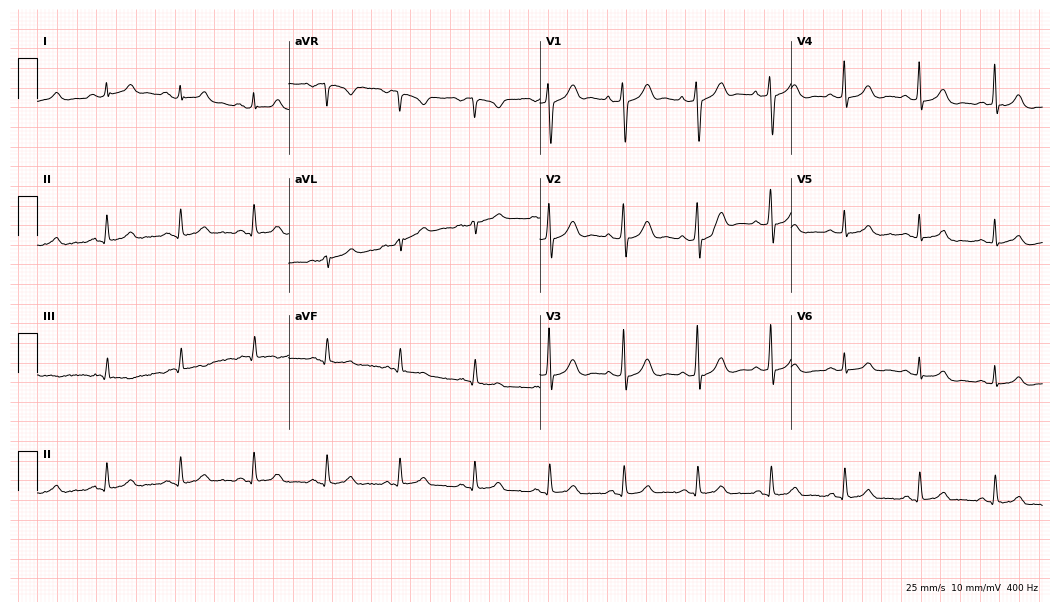
ECG — a 78-year-old male patient. Labelled as a normal ECG.